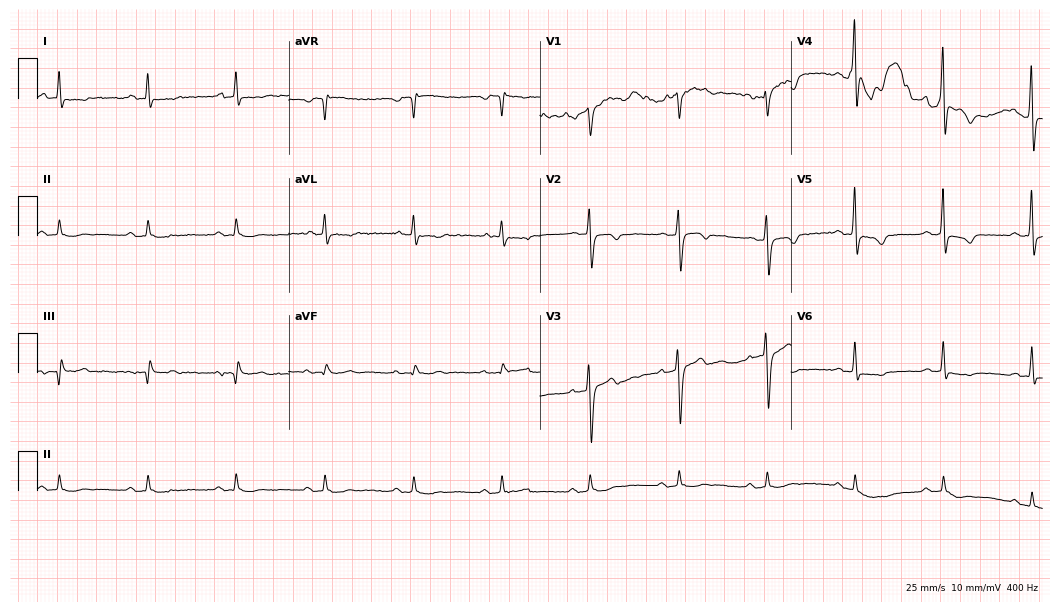
Electrocardiogram (10.2-second recording at 400 Hz), an 84-year-old male patient. Of the six screened findings (first-degree AV block, right bundle branch block, left bundle branch block, sinus bradycardia, atrial fibrillation, sinus tachycardia), none is recorded. Only these six findings were labelled.